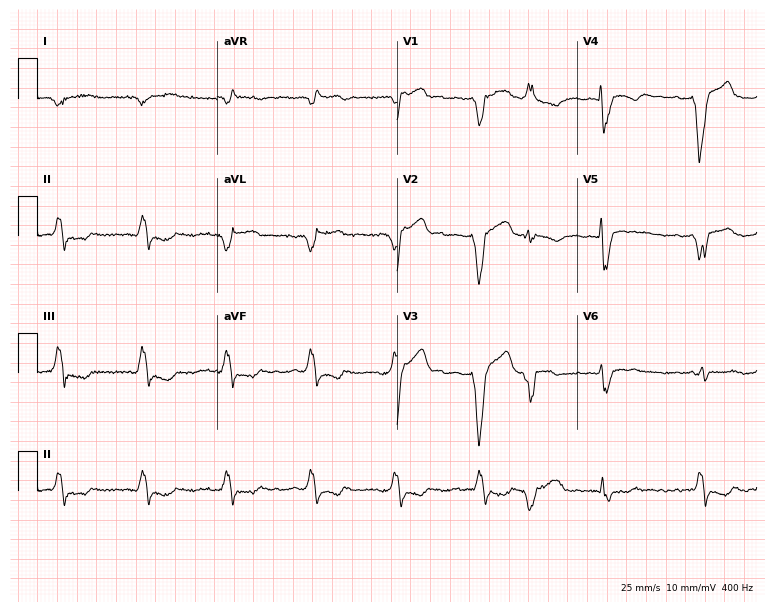
12-lead ECG (7.3-second recording at 400 Hz) from a man, 69 years old. Screened for six findings — first-degree AV block, right bundle branch block, left bundle branch block, sinus bradycardia, atrial fibrillation, sinus tachycardia — none is recorded.